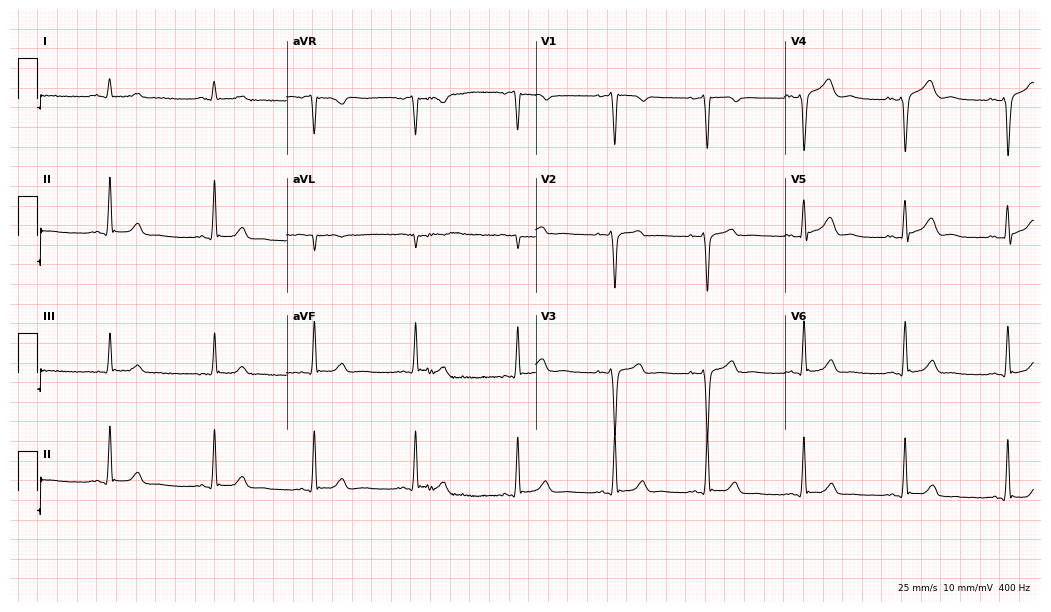
12-lead ECG from a 36-year-old man. No first-degree AV block, right bundle branch block (RBBB), left bundle branch block (LBBB), sinus bradycardia, atrial fibrillation (AF) or sinus tachycardia recorded for this tracing.